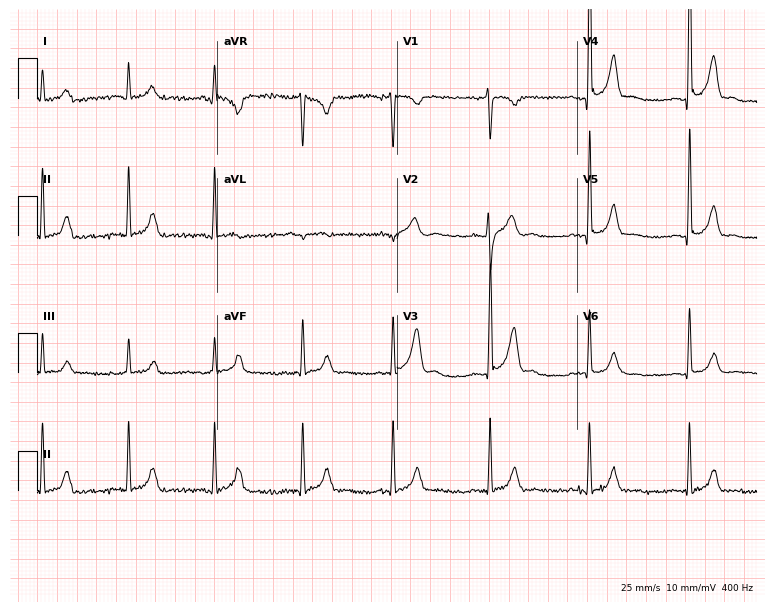
ECG (7.3-second recording at 400 Hz) — a 35-year-old man. Screened for six findings — first-degree AV block, right bundle branch block, left bundle branch block, sinus bradycardia, atrial fibrillation, sinus tachycardia — none is recorded.